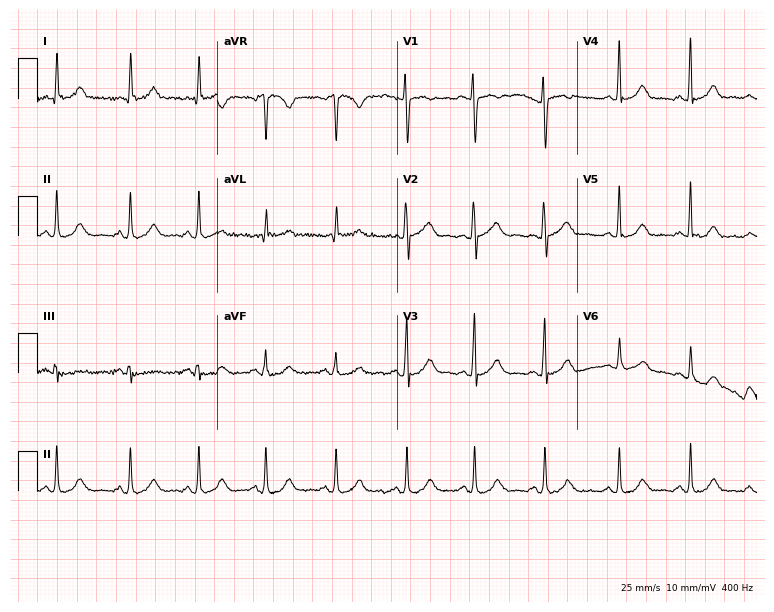
Electrocardiogram (7.3-second recording at 400 Hz), a female, 36 years old. Overall reading on record: normal ECG.